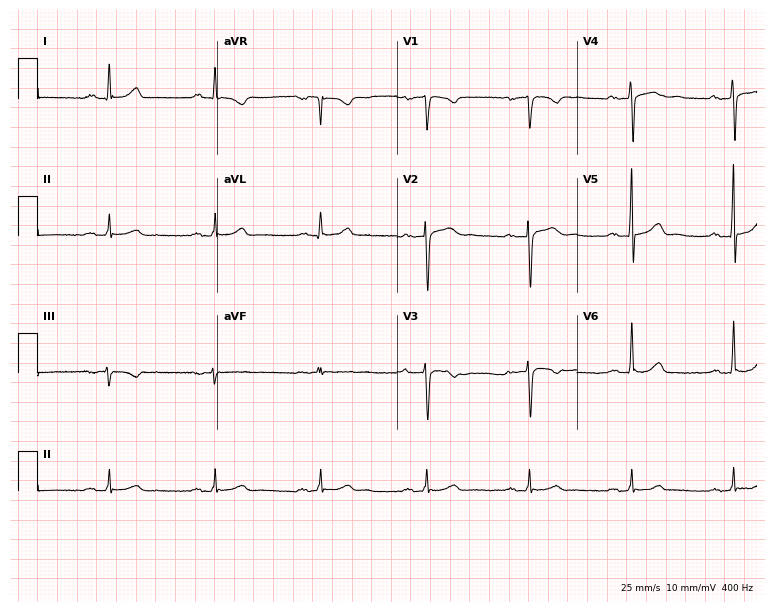
12-lead ECG (7.3-second recording at 400 Hz) from a male, 42 years old. Labelled as a normal ECG.